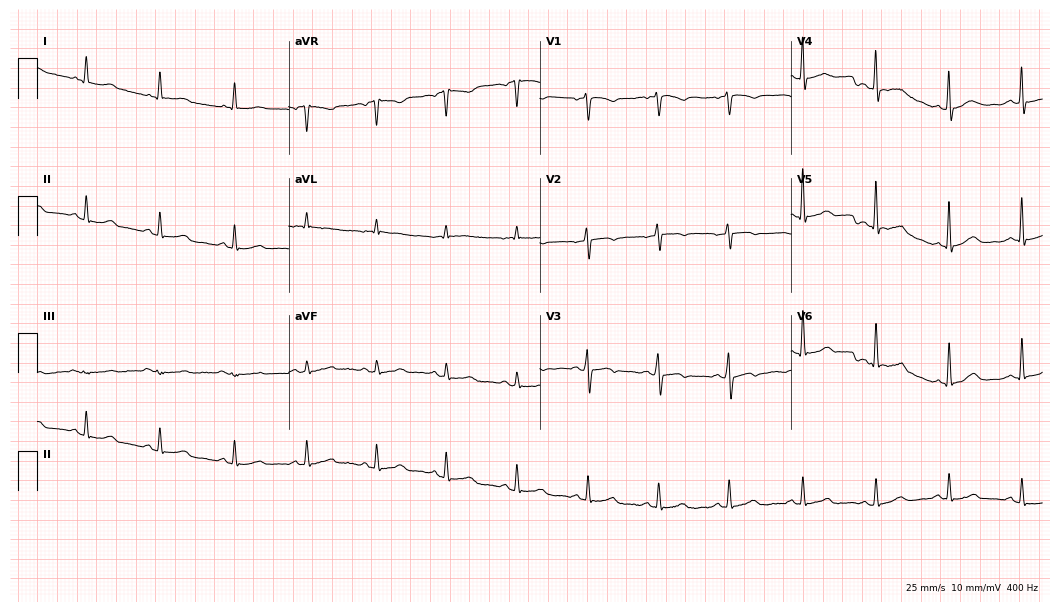
Standard 12-lead ECG recorded from a 60-year-old woman. None of these six findings is recorded: first-degree AV block, right bundle branch block, left bundle branch block, sinus bradycardia, atrial fibrillation, sinus tachycardia.